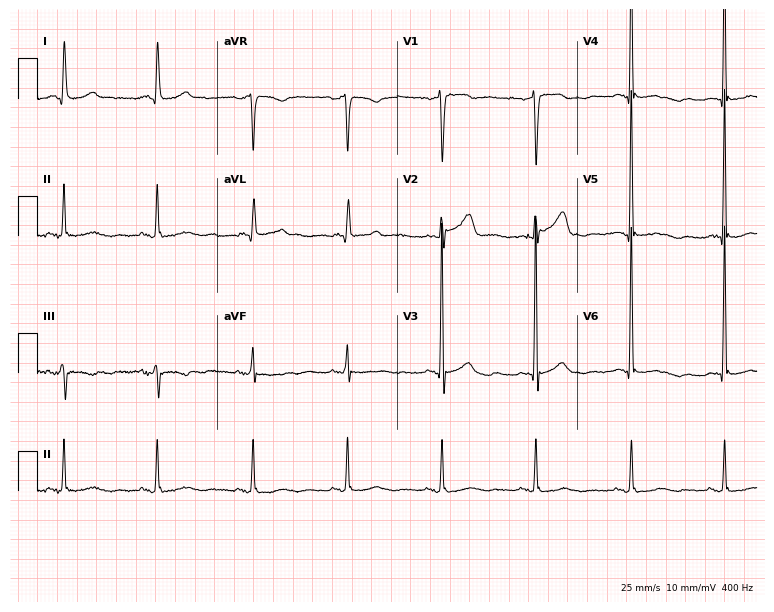
ECG (7.3-second recording at 400 Hz) — a female, 46 years old. Screened for six findings — first-degree AV block, right bundle branch block (RBBB), left bundle branch block (LBBB), sinus bradycardia, atrial fibrillation (AF), sinus tachycardia — none is recorded. Only these six findings were labelled.